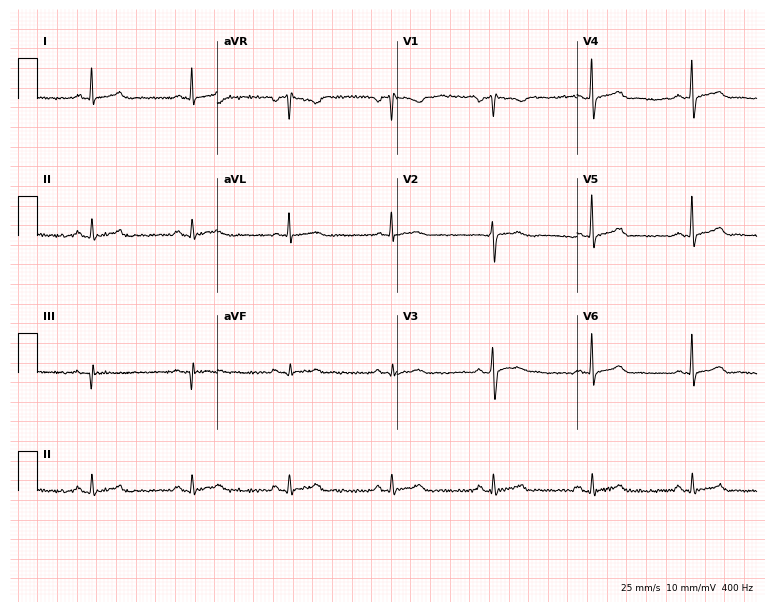
ECG (7.3-second recording at 400 Hz) — a male patient, 49 years old. Labelled as a normal ECG.